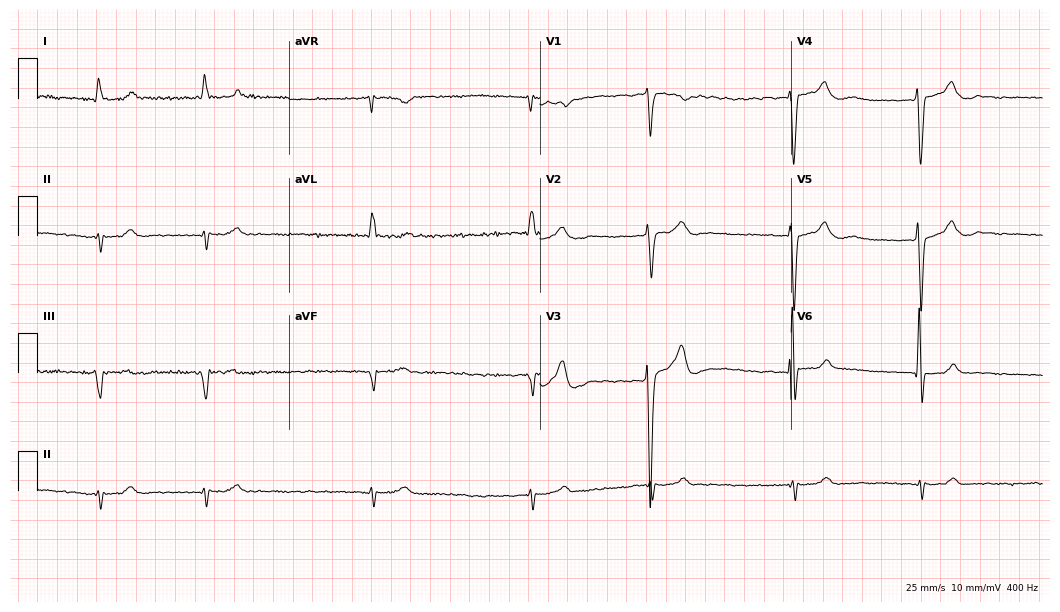
Resting 12-lead electrocardiogram (10.2-second recording at 400 Hz). Patient: a male, 84 years old. The tracing shows atrial fibrillation (AF).